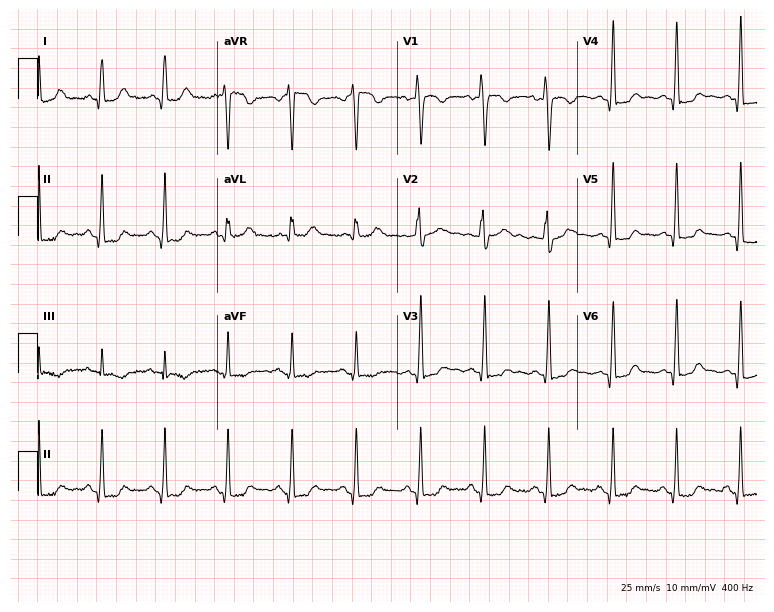
Standard 12-lead ECG recorded from a female patient, 35 years old (7.3-second recording at 400 Hz). None of these six findings is recorded: first-degree AV block, right bundle branch block (RBBB), left bundle branch block (LBBB), sinus bradycardia, atrial fibrillation (AF), sinus tachycardia.